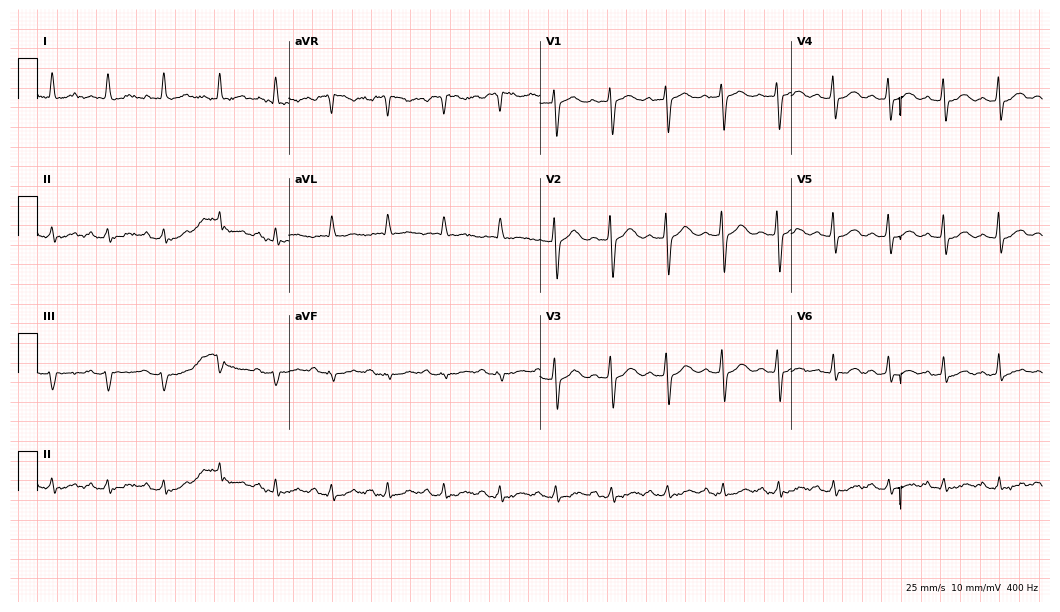
Resting 12-lead electrocardiogram. Patient: a female, 85 years old. The tracing shows sinus tachycardia (a sinus rate of 100 beats per minute or more).